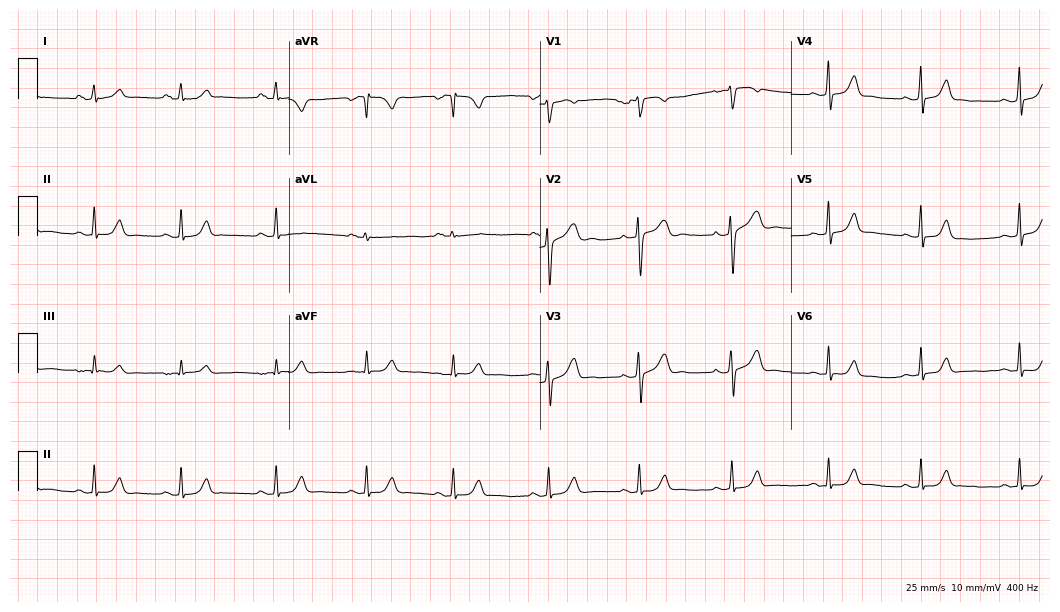
12-lead ECG from a 24-year-old female patient. Screened for six findings — first-degree AV block, right bundle branch block, left bundle branch block, sinus bradycardia, atrial fibrillation, sinus tachycardia — none is recorded.